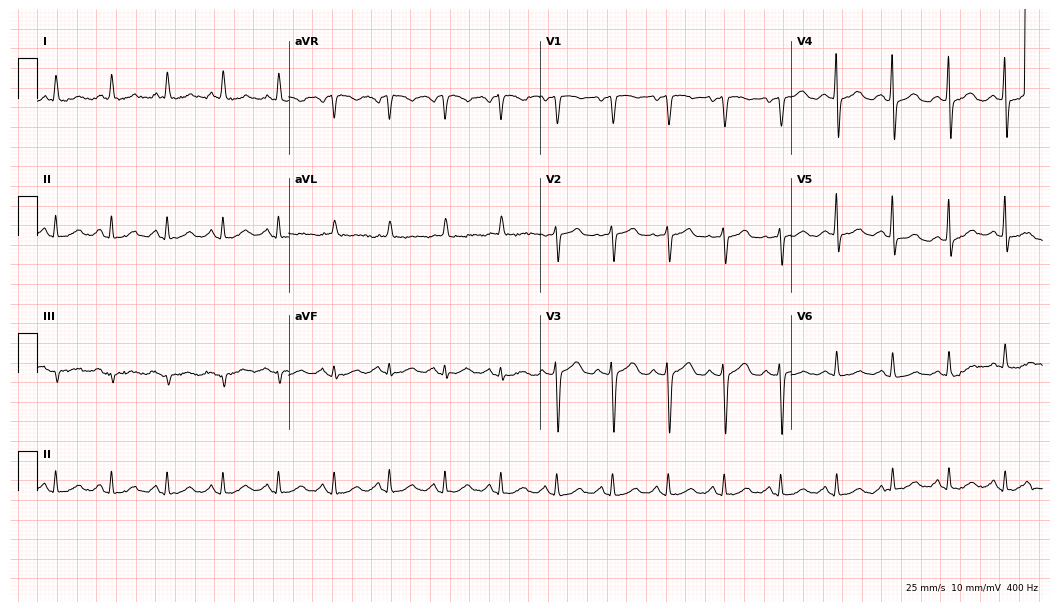
12-lead ECG from a woman, 58 years old (10.2-second recording at 400 Hz). Shows sinus tachycardia (a sinus rate of 100 beats per minute or more).